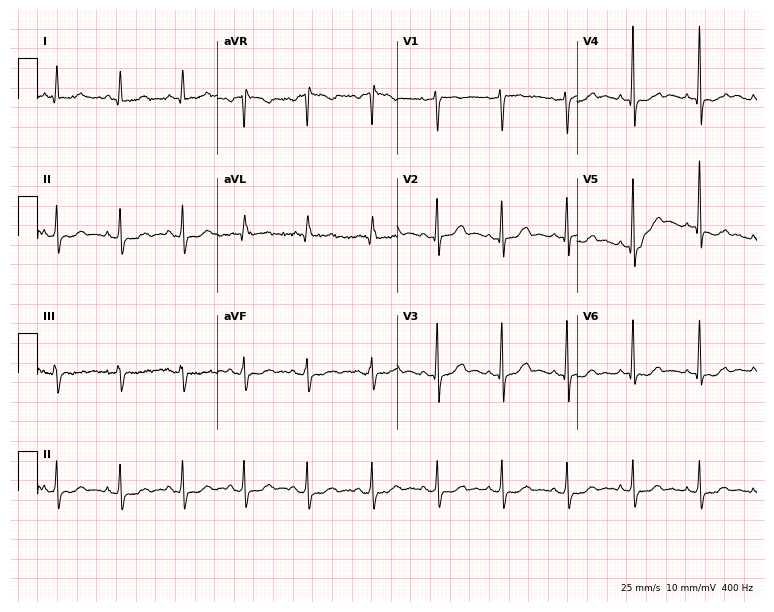
Electrocardiogram (7.3-second recording at 400 Hz), a female, 48 years old. Of the six screened findings (first-degree AV block, right bundle branch block, left bundle branch block, sinus bradycardia, atrial fibrillation, sinus tachycardia), none is recorded.